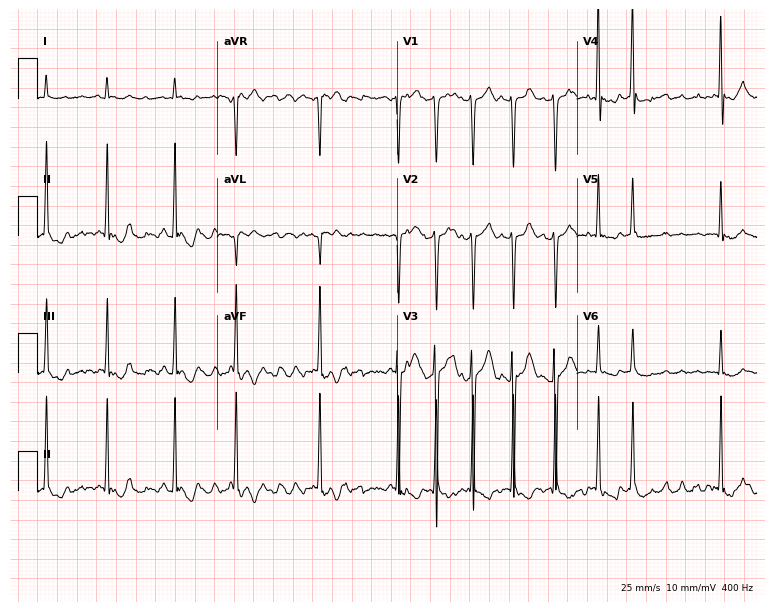
Electrocardiogram (7.3-second recording at 400 Hz), a 79-year-old male. Interpretation includes atrial fibrillation.